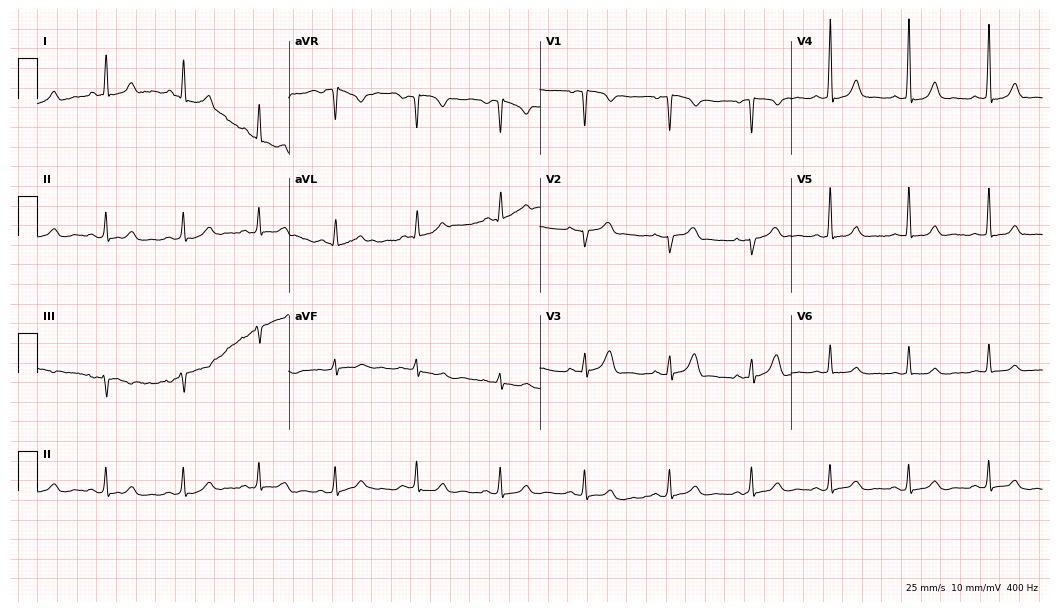
Resting 12-lead electrocardiogram (10.2-second recording at 400 Hz). Patient: a 39-year-old female. Read as a normal ECG.